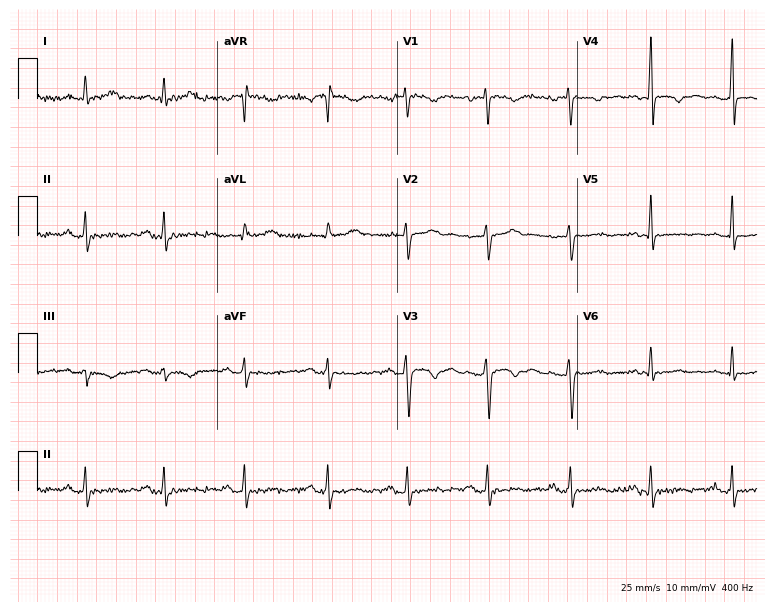
Electrocardiogram, a female patient, 48 years old. Overall reading on record: normal ECG.